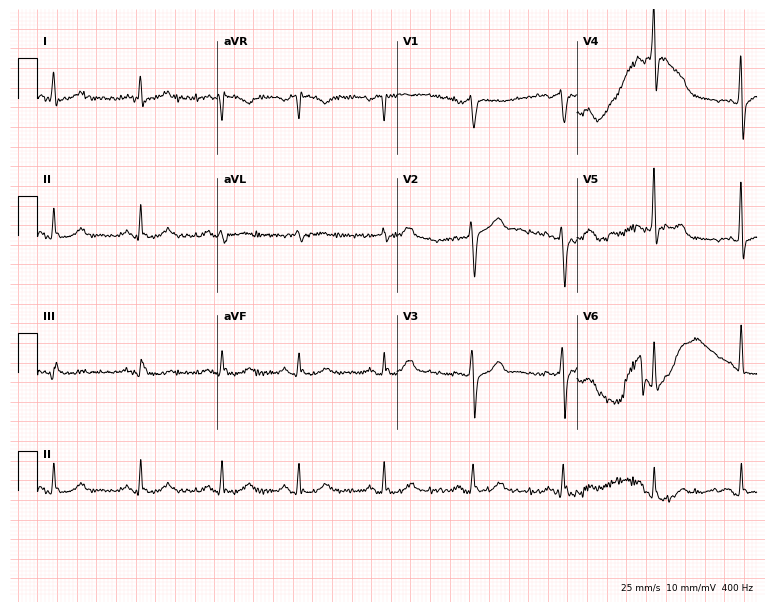
ECG (7.3-second recording at 400 Hz) — a 54-year-old male patient. Labelled as a normal ECG.